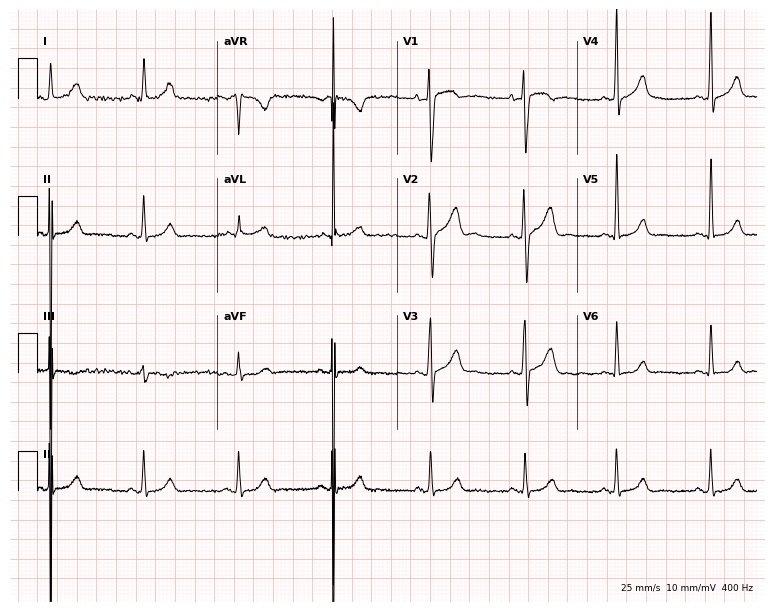
12-lead ECG from a 25-year-old male patient (7.3-second recording at 400 Hz). Recorded interpretation: within normal limits.